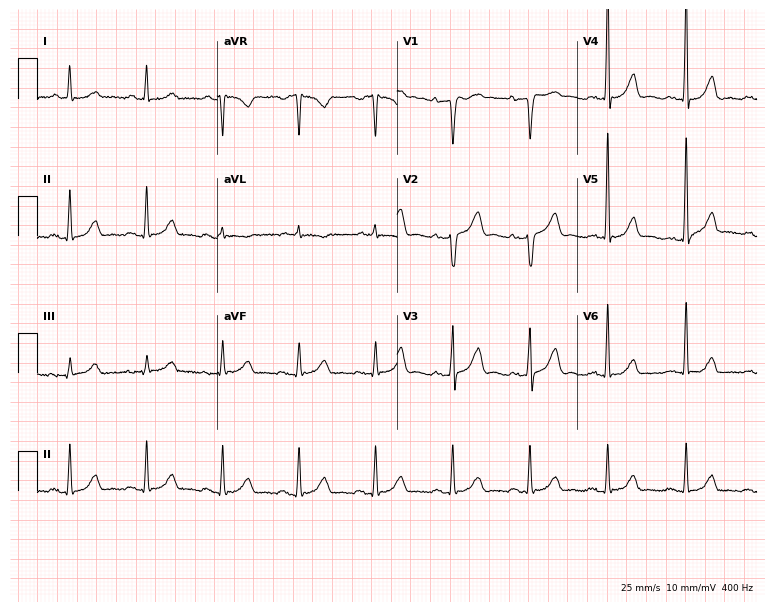
12-lead ECG from a 63-year-old woman. No first-degree AV block, right bundle branch block, left bundle branch block, sinus bradycardia, atrial fibrillation or sinus tachycardia recorded for this tracing.